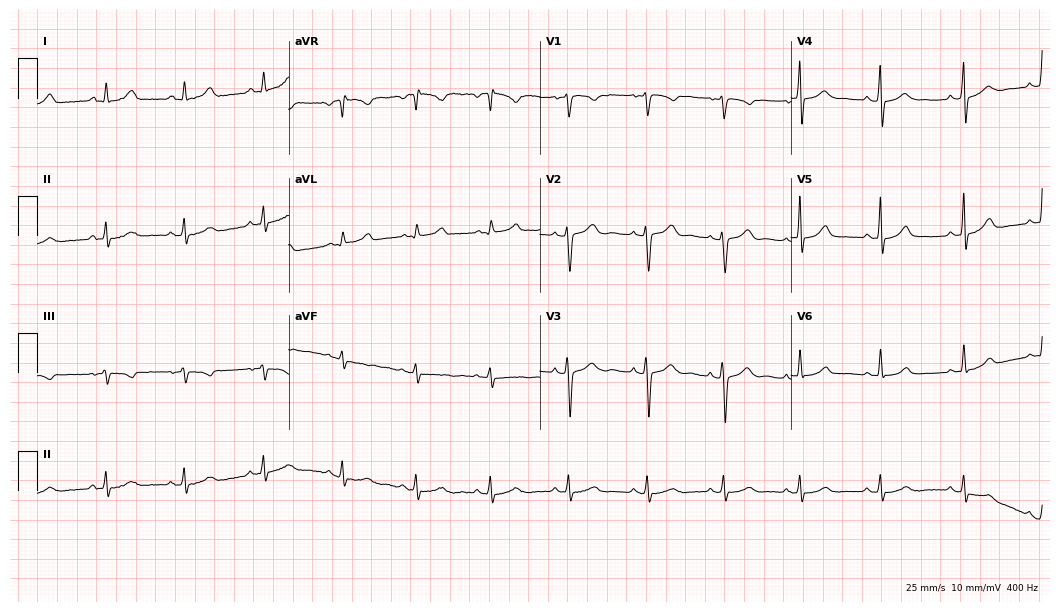
Electrocardiogram, a woman, 24 years old. Of the six screened findings (first-degree AV block, right bundle branch block (RBBB), left bundle branch block (LBBB), sinus bradycardia, atrial fibrillation (AF), sinus tachycardia), none is recorded. Only these six findings were labelled.